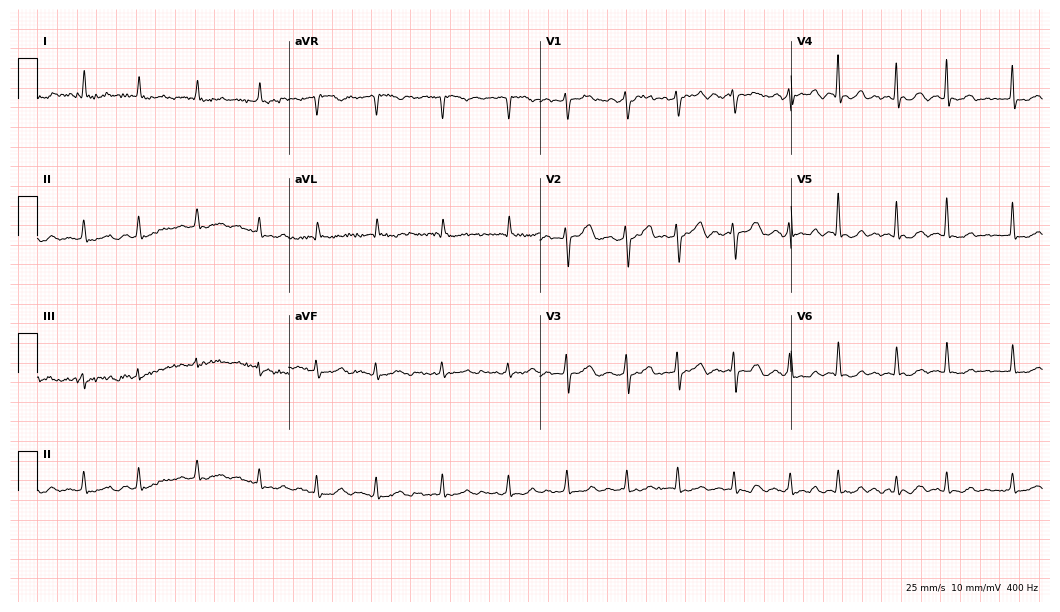
Standard 12-lead ECG recorded from a female, 67 years old (10.2-second recording at 400 Hz). The tracing shows atrial fibrillation (AF).